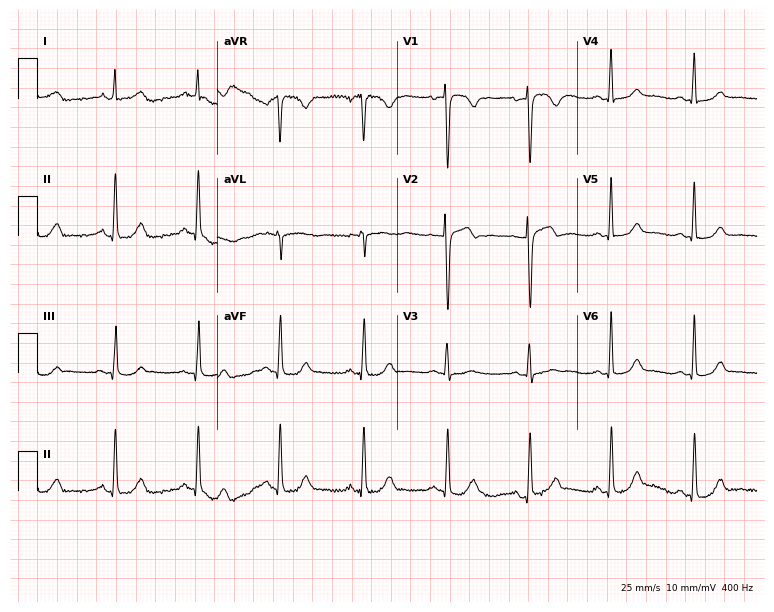
12-lead ECG from a female patient, 46 years old. No first-degree AV block, right bundle branch block, left bundle branch block, sinus bradycardia, atrial fibrillation or sinus tachycardia recorded for this tracing.